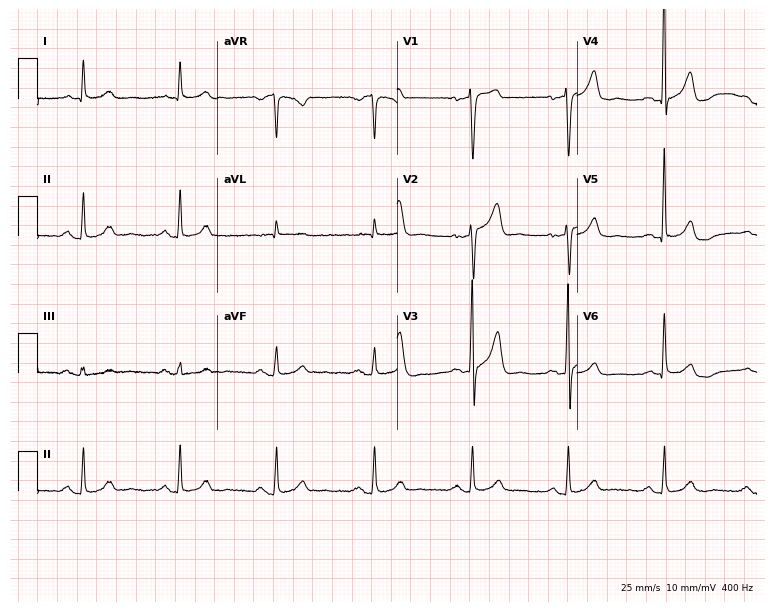
Electrocardiogram (7.3-second recording at 400 Hz), a 68-year-old man. Overall reading on record: normal ECG.